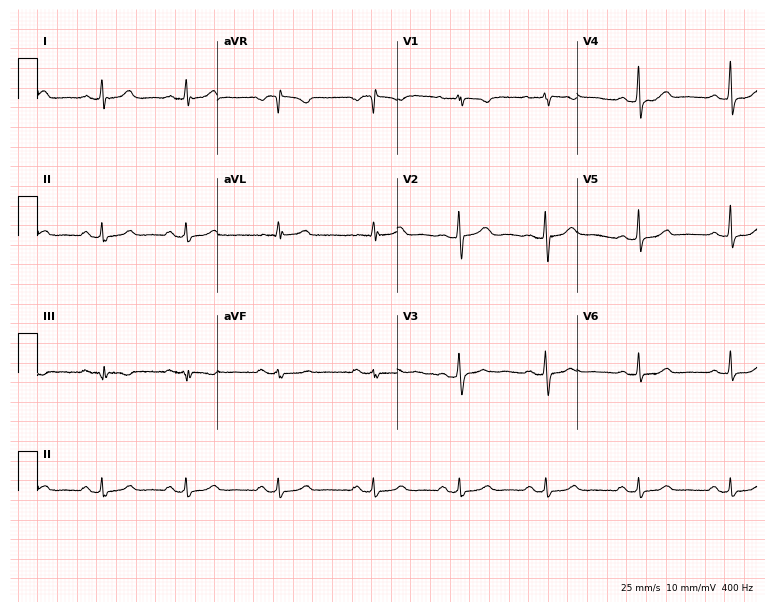
12-lead ECG from a woman, 26 years old (7.3-second recording at 400 Hz). No first-degree AV block, right bundle branch block, left bundle branch block, sinus bradycardia, atrial fibrillation or sinus tachycardia recorded for this tracing. Findings outside these six are not listed.